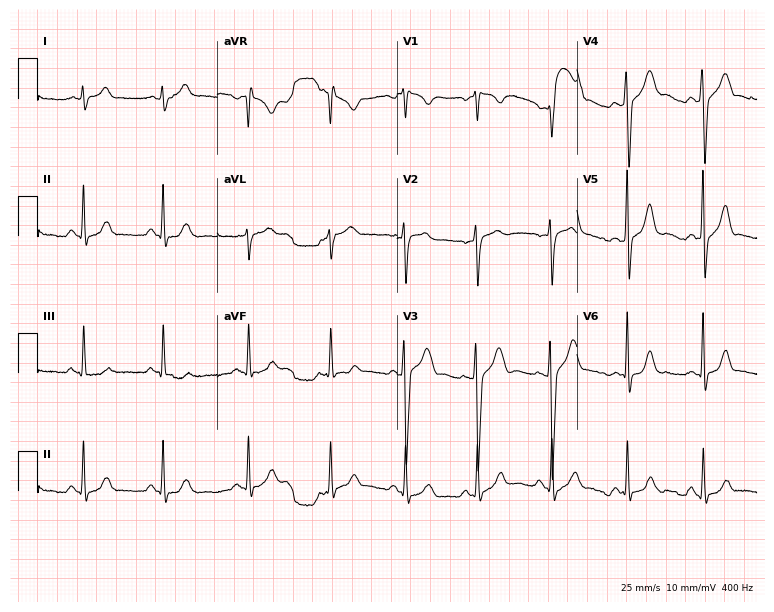
12-lead ECG (7.3-second recording at 400 Hz) from a 26-year-old man. Labelled as a normal ECG.